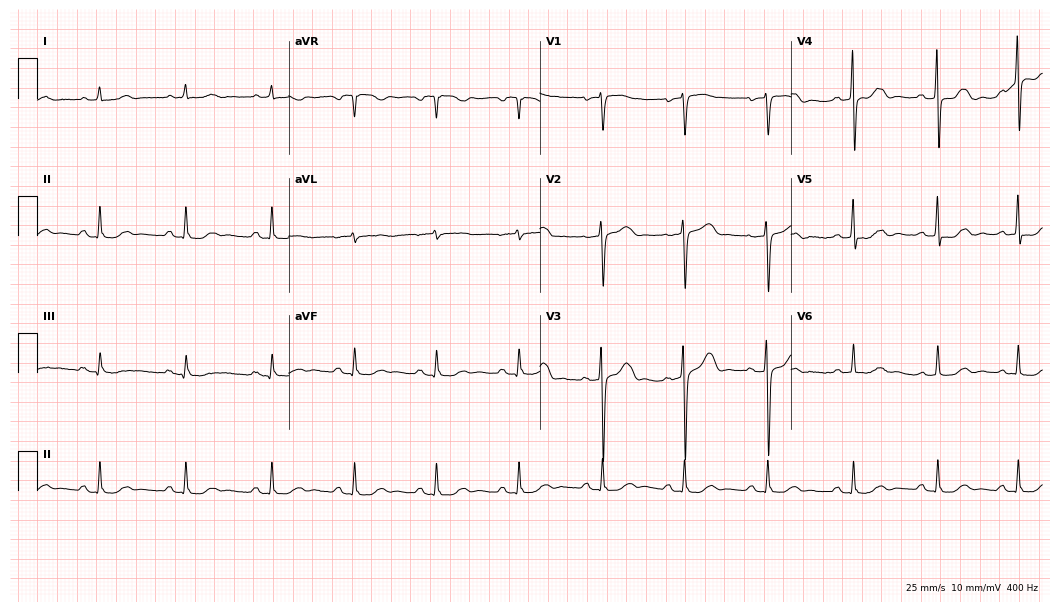
ECG (10.2-second recording at 400 Hz) — a male patient, 75 years old. Screened for six findings — first-degree AV block, right bundle branch block, left bundle branch block, sinus bradycardia, atrial fibrillation, sinus tachycardia — none is recorded. Findings outside these six are not listed.